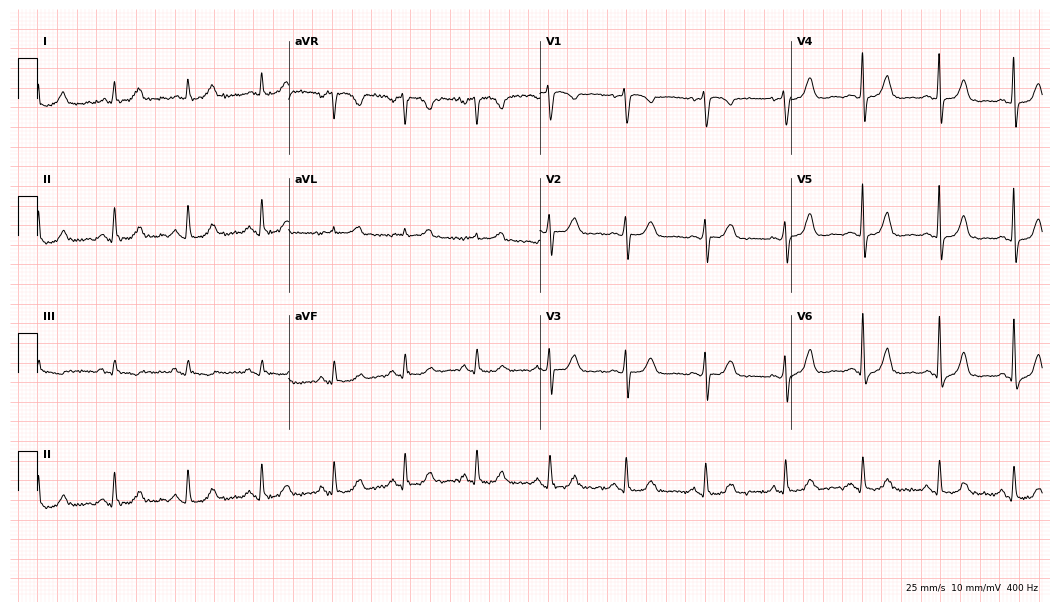
Resting 12-lead electrocardiogram (10.2-second recording at 400 Hz). Patient: a 59-year-old female. None of these six findings is recorded: first-degree AV block, right bundle branch block, left bundle branch block, sinus bradycardia, atrial fibrillation, sinus tachycardia.